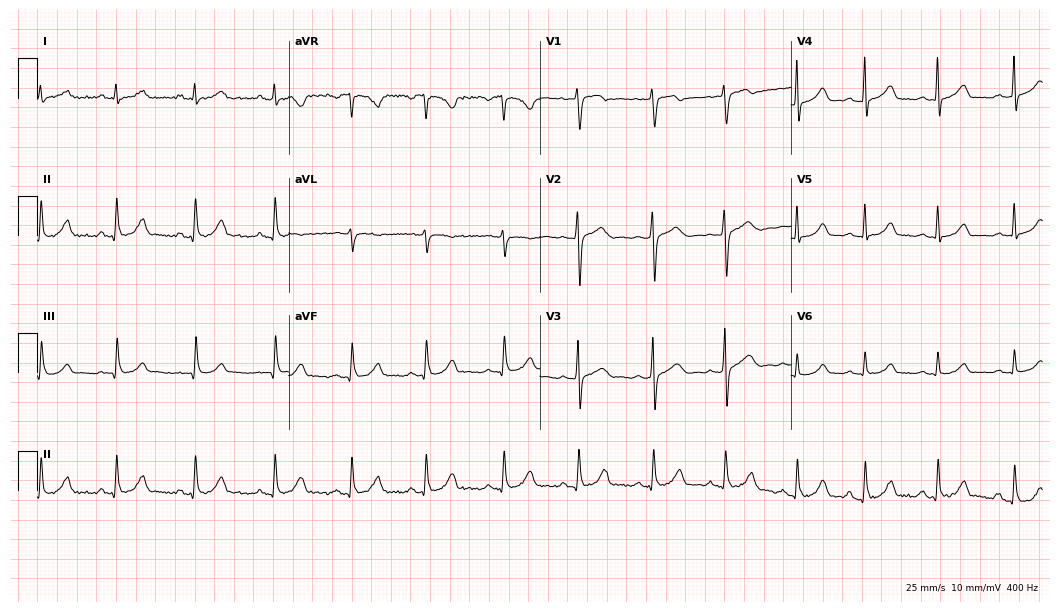
Electrocardiogram, a 21-year-old female. Overall reading on record: normal ECG.